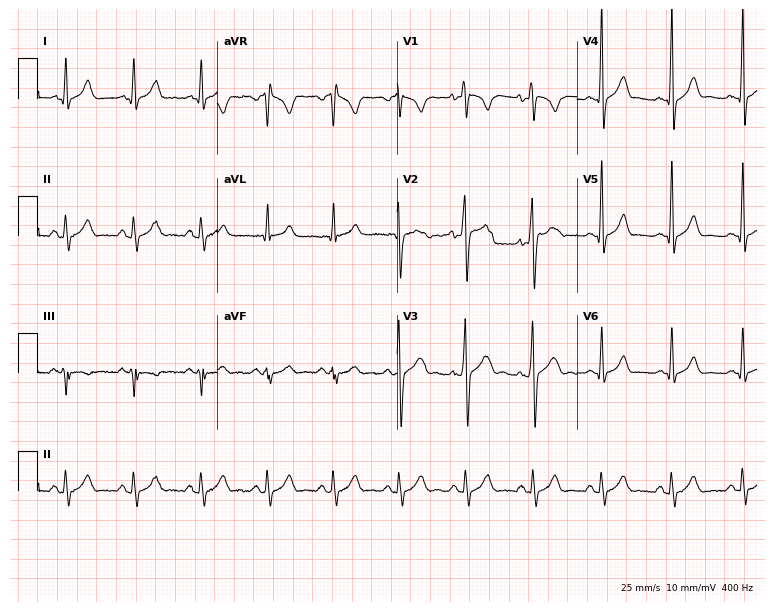
Electrocardiogram (7.3-second recording at 400 Hz), a 25-year-old male patient. Of the six screened findings (first-degree AV block, right bundle branch block, left bundle branch block, sinus bradycardia, atrial fibrillation, sinus tachycardia), none is recorded. Other findings, if any, are not listed.